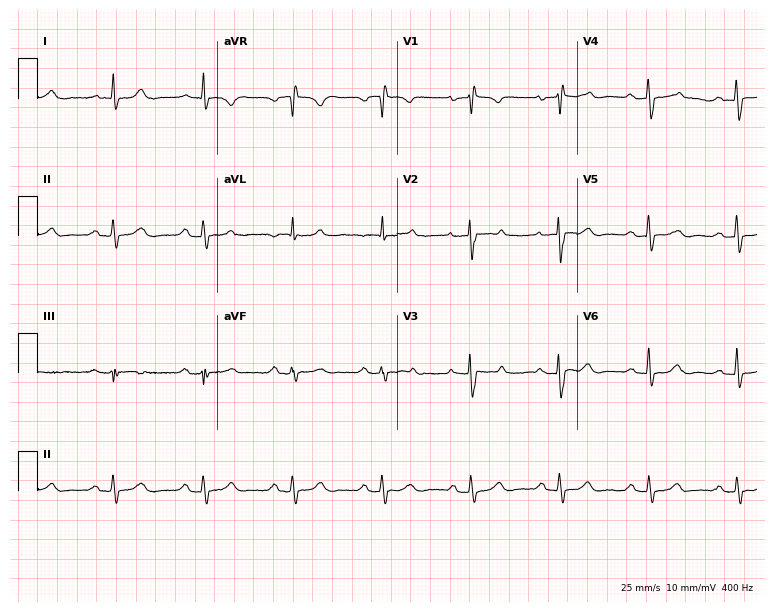
Standard 12-lead ECG recorded from a 58-year-old female. Read as a normal ECG.